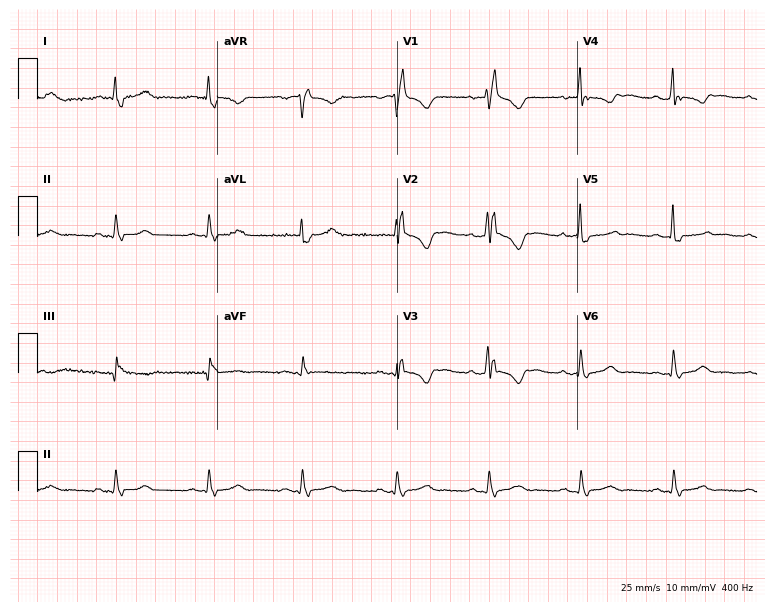
Resting 12-lead electrocardiogram. Patient: a 41-year-old man. None of these six findings is recorded: first-degree AV block, right bundle branch block, left bundle branch block, sinus bradycardia, atrial fibrillation, sinus tachycardia.